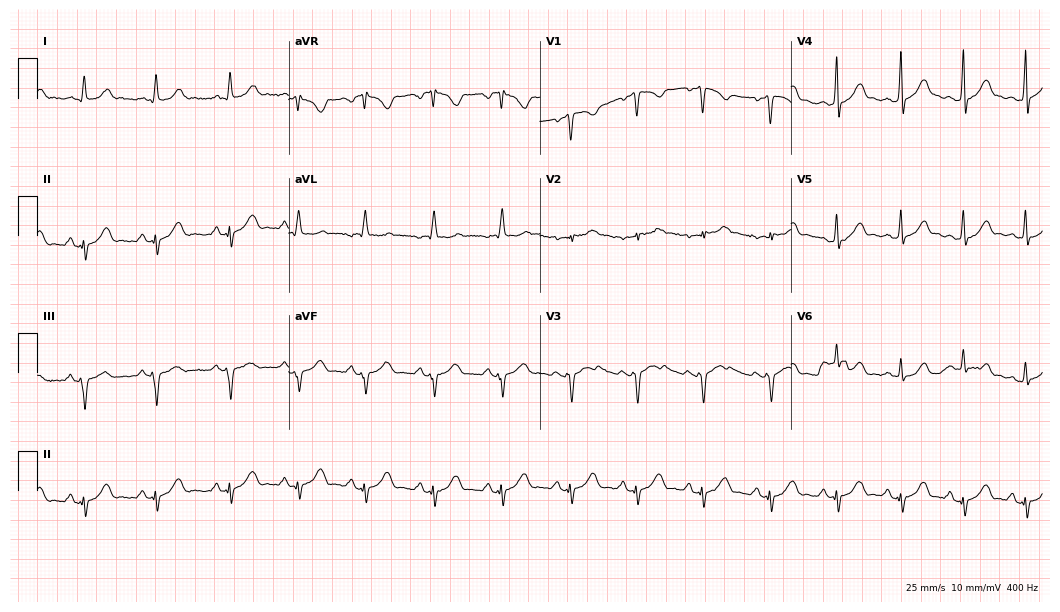
12-lead ECG from a male, 24 years old. No first-degree AV block, right bundle branch block, left bundle branch block, sinus bradycardia, atrial fibrillation or sinus tachycardia recorded for this tracing.